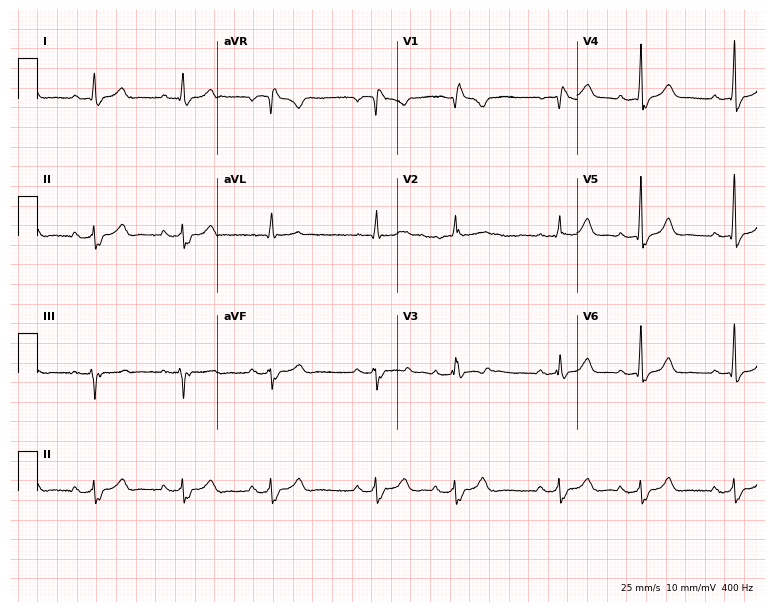
Resting 12-lead electrocardiogram. Patient: a female, 49 years old. The tracing shows right bundle branch block.